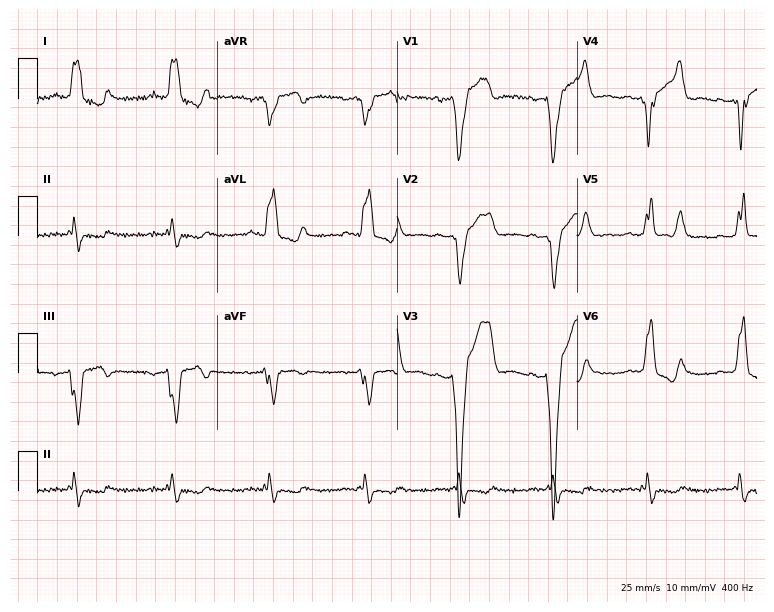
ECG (7.3-second recording at 400 Hz) — a 58-year-old man. Findings include left bundle branch block (LBBB).